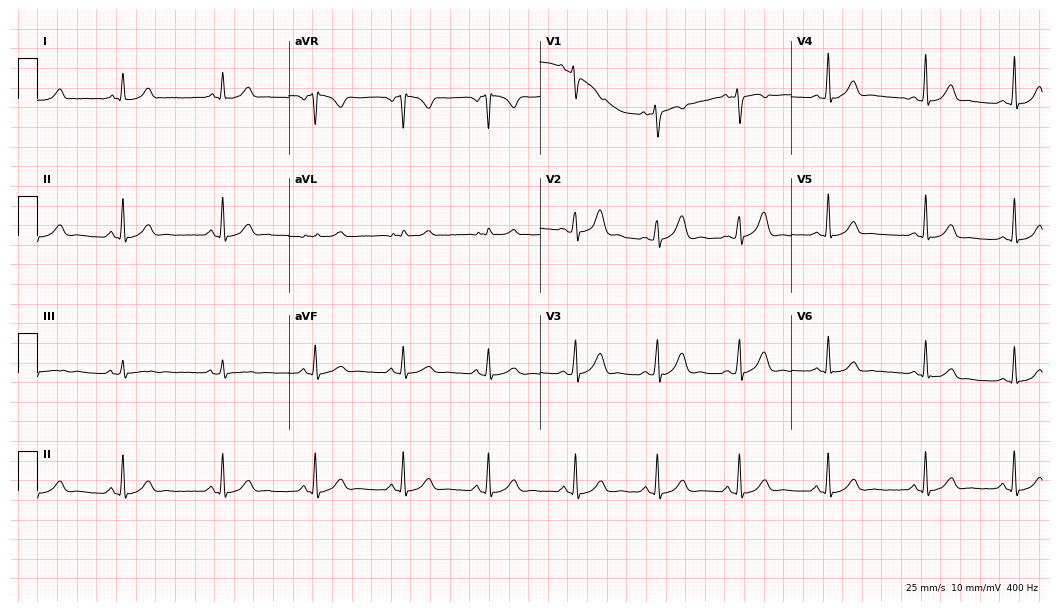
12-lead ECG from a 34-year-old female patient. Labelled as a normal ECG.